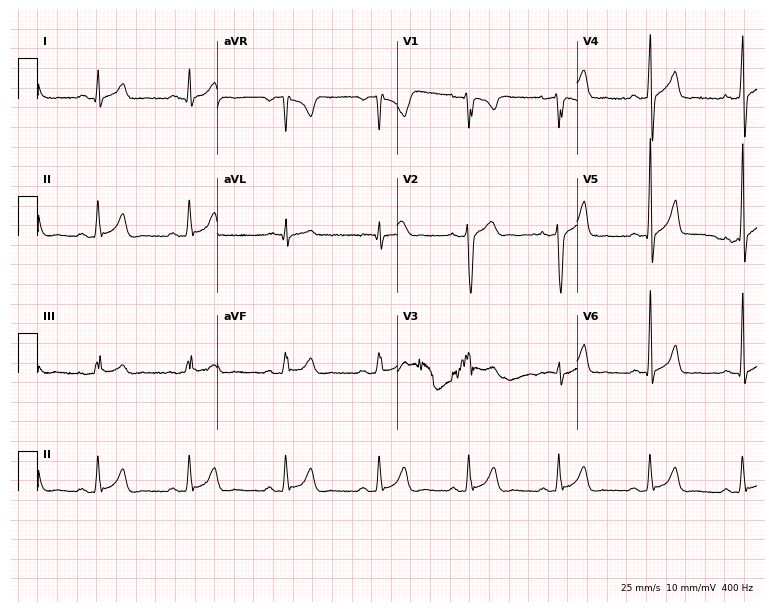
Standard 12-lead ECG recorded from a man, 33 years old (7.3-second recording at 400 Hz). Read as a normal ECG.